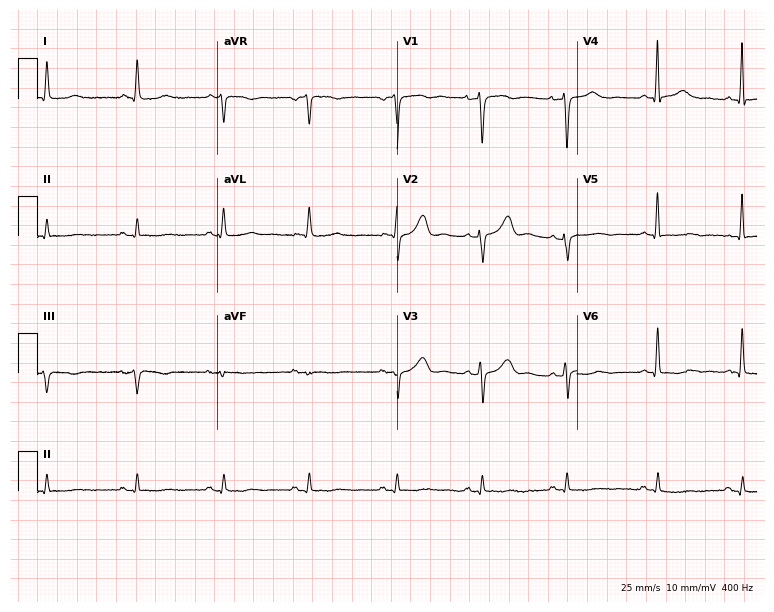
Electrocardiogram (7.3-second recording at 400 Hz), a 62-year-old female patient. Of the six screened findings (first-degree AV block, right bundle branch block (RBBB), left bundle branch block (LBBB), sinus bradycardia, atrial fibrillation (AF), sinus tachycardia), none is recorded.